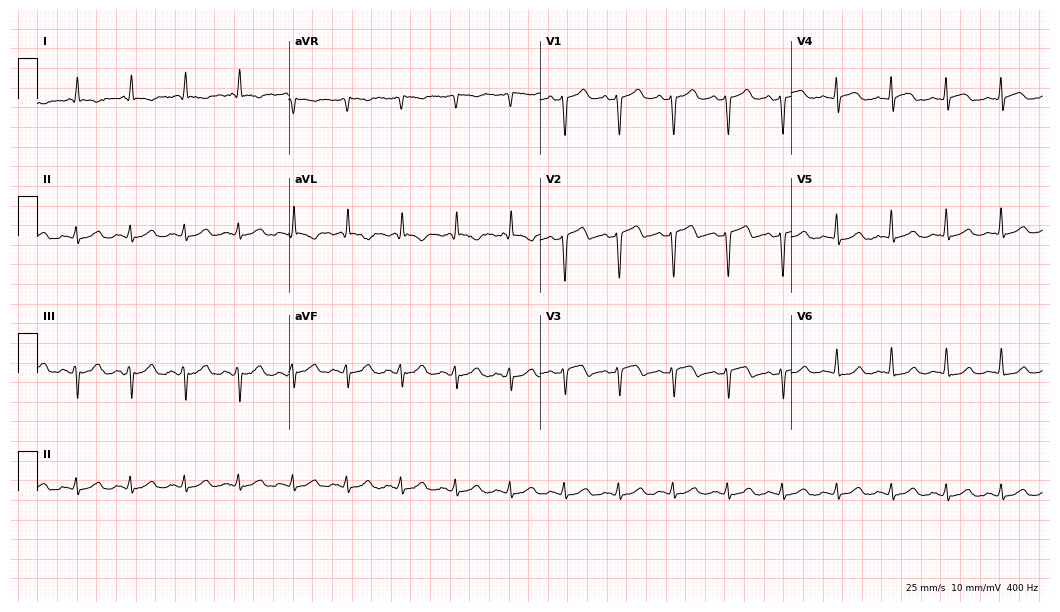
12-lead ECG from a female patient, 63 years old (10.2-second recording at 400 Hz). Shows sinus tachycardia (a sinus rate of 100 beats per minute or more).